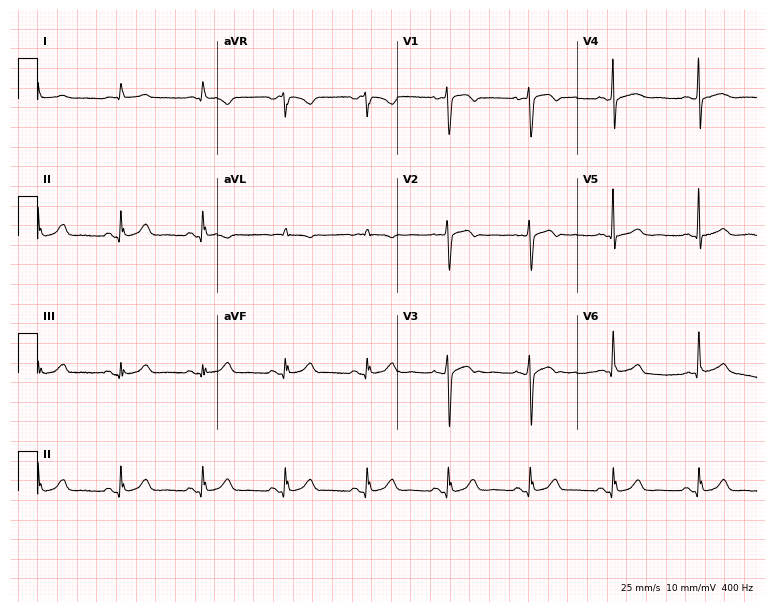
12-lead ECG from a male patient, 51 years old. Recorded interpretation: within normal limits.